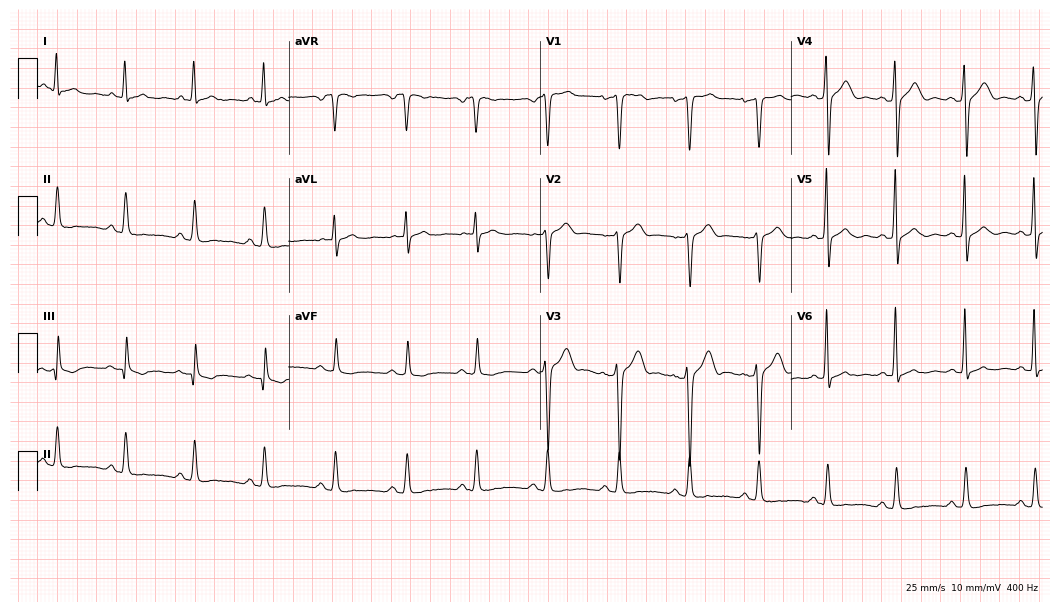
Resting 12-lead electrocardiogram (10.2-second recording at 400 Hz). Patient: a 46-year-old male. None of these six findings is recorded: first-degree AV block, right bundle branch block, left bundle branch block, sinus bradycardia, atrial fibrillation, sinus tachycardia.